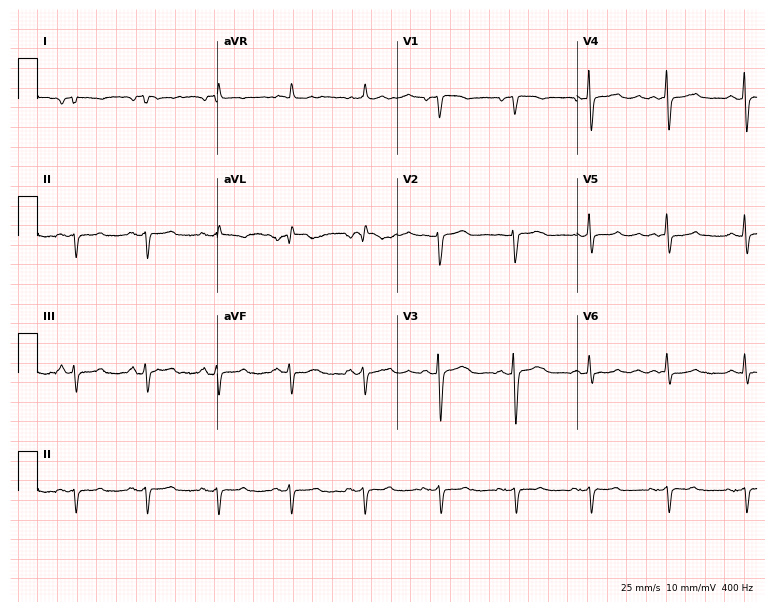
Resting 12-lead electrocardiogram. Patient: a female, 46 years old. None of these six findings is recorded: first-degree AV block, right bundle branch block, left bundle branch block, sinus bradycardia, atrial fibrillation, sinus tachycardia.